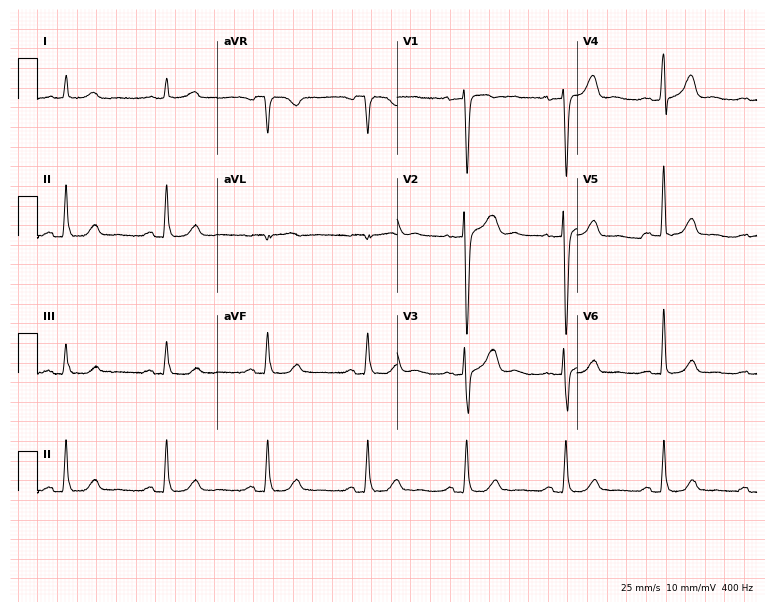
Electrocardiogram, a male, 58 years old. Overall reading on record: normal ECG.